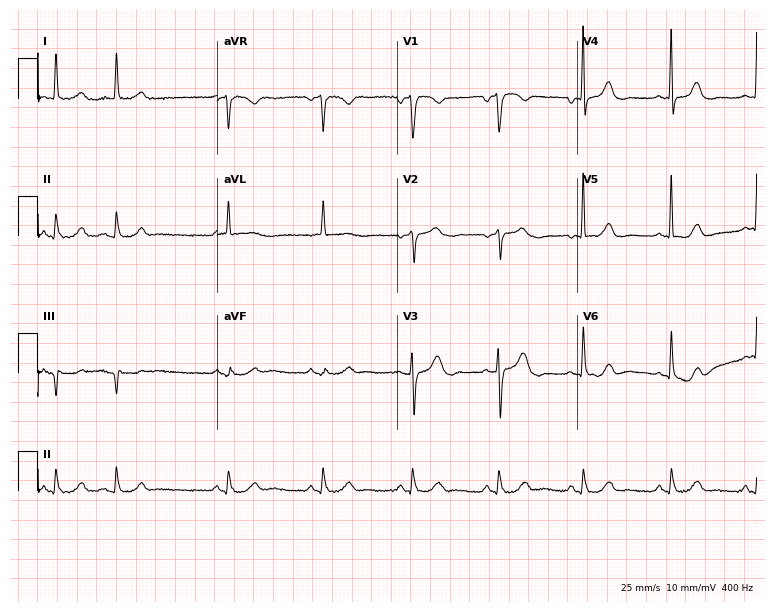
Standard 12-lead ECG recorded from a female, 84 years old (7.3-second recording at 400 Hz). None of these six findings is recorded: first-degree AV block, right bundle branch block, left bundle branch block, sinus bradycardia, atrial fibrillation, sinus tachycardia.